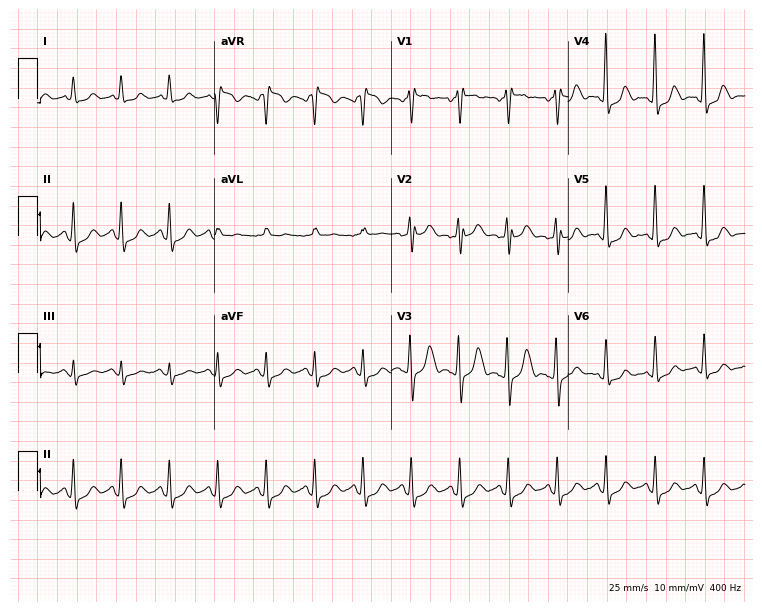
Standard 12-lead ECG recorded from a female, 52 years old (7.2-second recording at 400 Hz). The tracing shows sinus tachycardia (a sinus rate of 100 beats per minute or more).